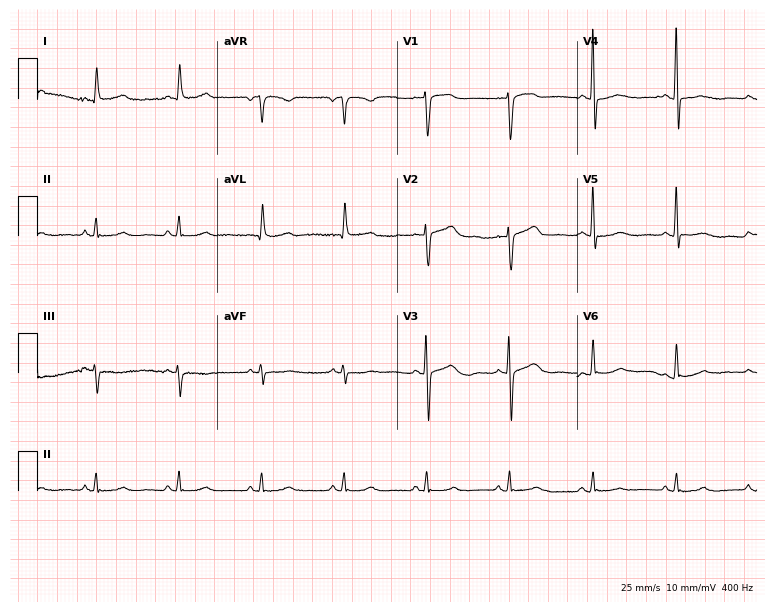
12-lead ECG from an 80-year-old male. Labelled as a normal ECG.